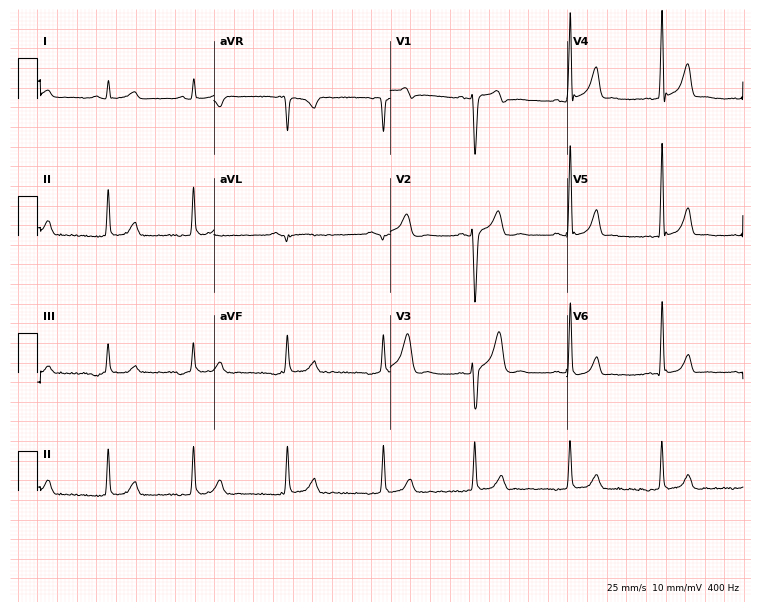
ECG (7.2-second recording at 400 Hz) — a 24-year-old male patient. Screened for six findings — first-degree AV block, right bundle branch block, left bundle branch block, sinus bradycardia, atrial fibrillation, sinus tachycardia — none is recorded.